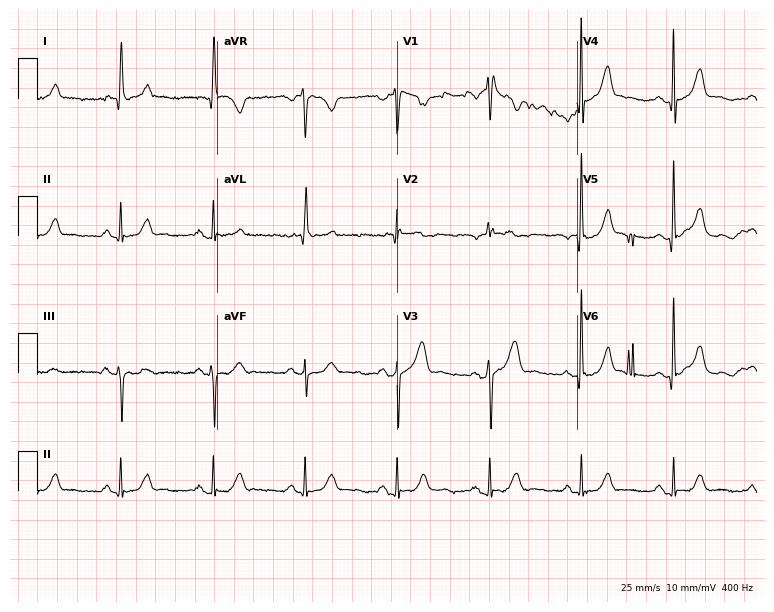
12-lead ECG (7.3-second recording at 400 Hz) from a woman, 84 years old. Screened for six findings — first-degree AV block, right bundle branch block, left bundle branch block, sinus bradycardia, atrial fibrillation, sinus tachycardia — none is recorded. Only these six findings were labelled.